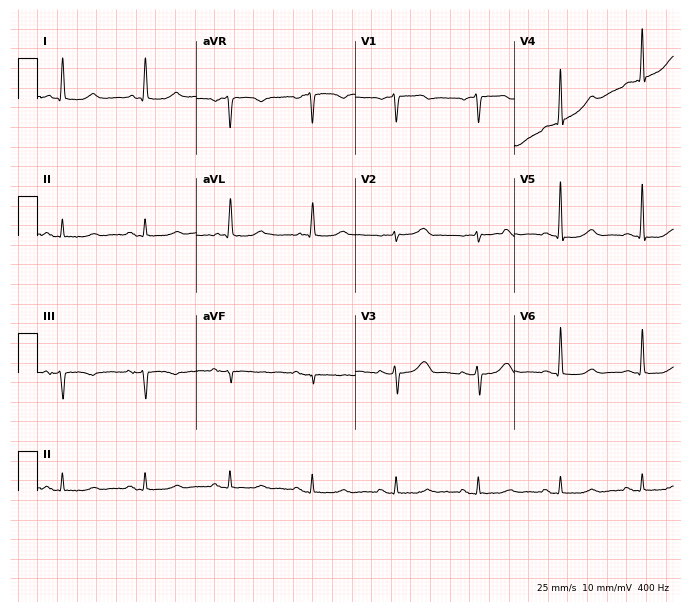
Electrocardiogram, a female, 72 years old. Of the six screened findings (first-degree AV block, right bundle branch block (RBBB), left bundle branch block (LBBB), sinus bradycardia, atrial fibrillation (AF), sinus tachycardia), none is recorded. Findings outside these six are not listed.